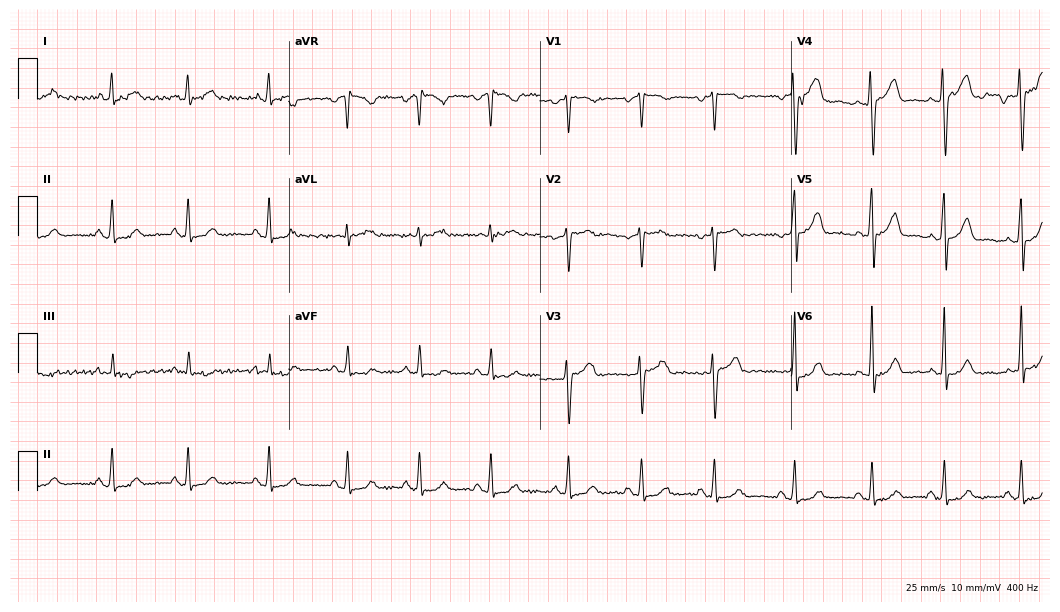
12-lead ECG from a 42-year-old female patient. No first-degree AV block, right bundle branch block, left bundle branch block, sinus bradycardia, atrial fibrillation or sinus tachycardia recorded for this tracing.